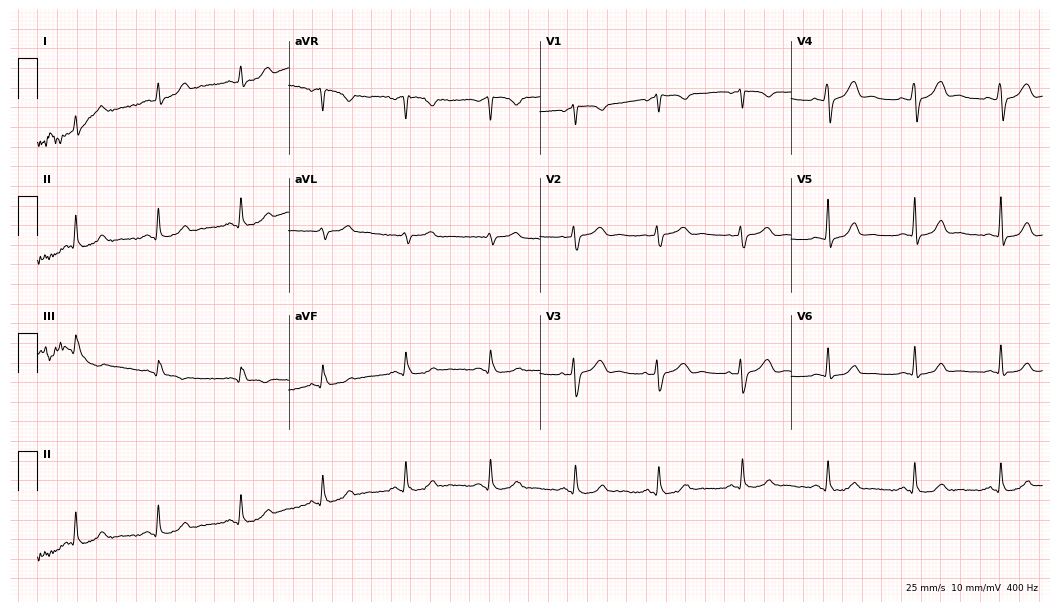
ECG (10.2-second recording at 400 Hz) — a female patient, 47 years old. Screened for six findings — first-degree AV block, right bundle branch block (RBBB), left bundle branch block (LBBB), sinus bradycardia, atrial fibrillation (AF), sinus tachycardia — none is recorded.